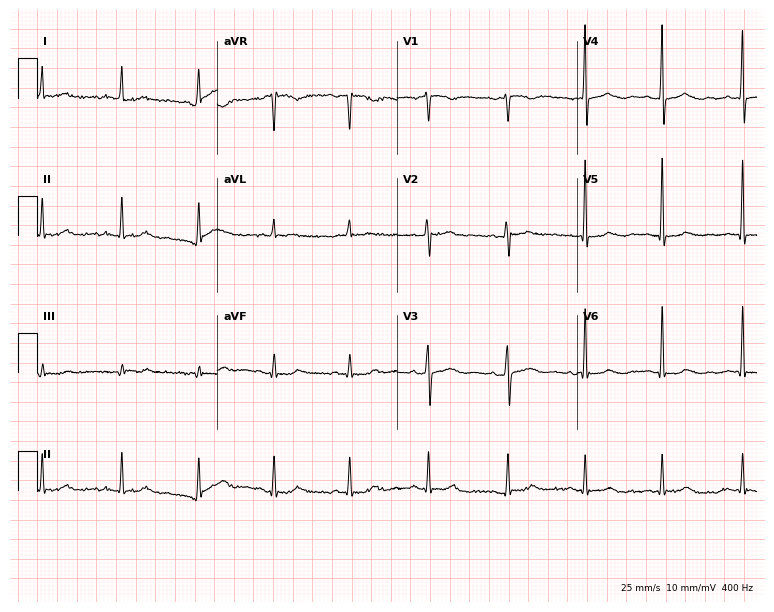
12-lead ECG from a 47-year-old female patient. Screened for six findings — first-degree AV block, right bundle branch block, left bundle branch block, sinus bradycardia, atrial fibrillation, sinus tachycardia — none is recorded. Findings outside these six are not listed.